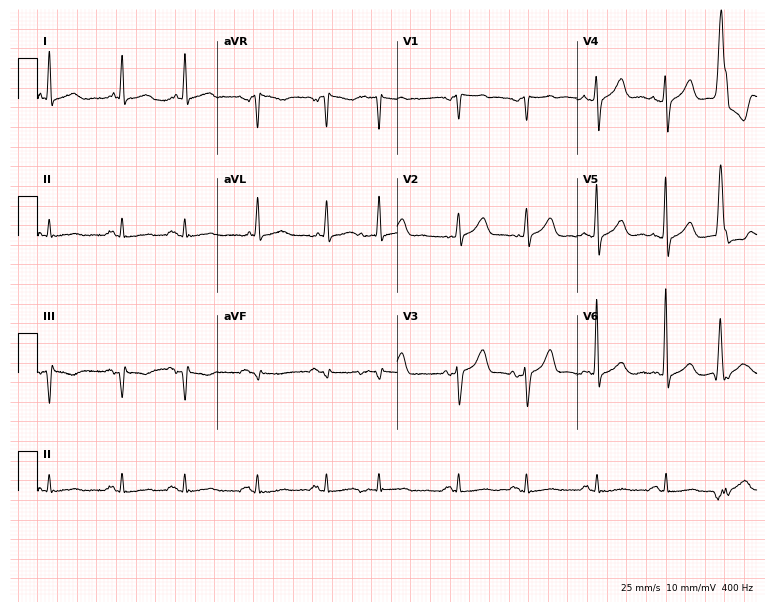
ECG (7.3-second recording at 400 Hz) — a 69-year-old man. Screened for six findings — first-degree AV block, right bundle branch block (RBBB), left bundle branch block (LBBB), sinus bradycardia, atrial fibrillation (AF), sinus tachycardia — none is recorded. Findings outside these six are not listed.